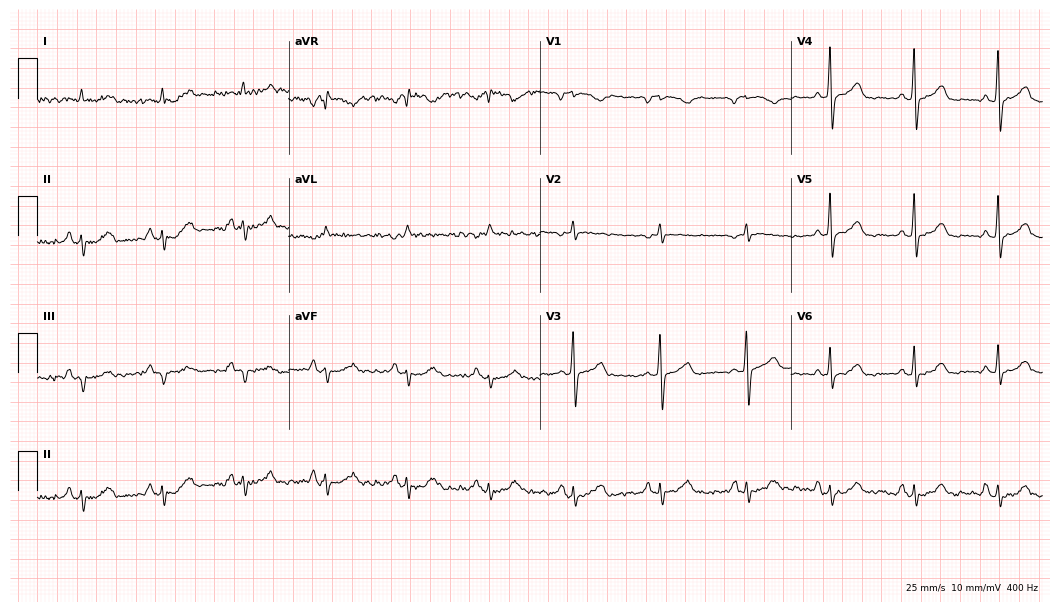
ECG — a 71-year-old male patient. Screened for six findings — first-degree AV block, right bundle branch block, left bundle branch block, sinus bradycardia, atrial fibrillation, sinus tachycardia — none is recorded.